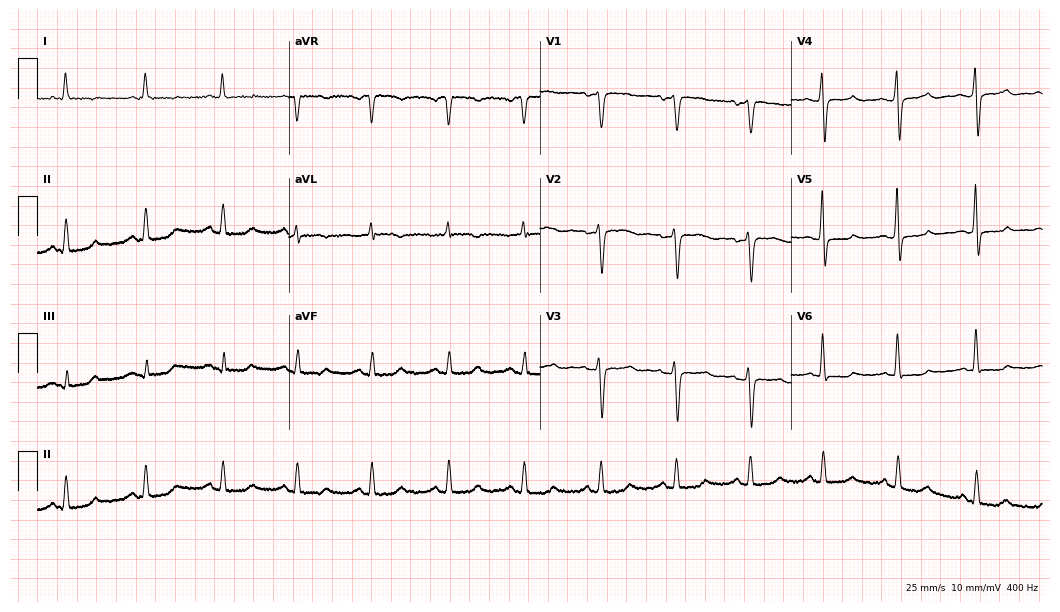
12-lead ECG from a 70-year-old female patient (10.2-second recording at 400 Hz). No first-degree AV block, right bundle branch block (RBBB), left bundle branch block (LBBB), sinus bradycardia, atrial fibrillation (AF) or sinus tachycardia recorded for this tracing.